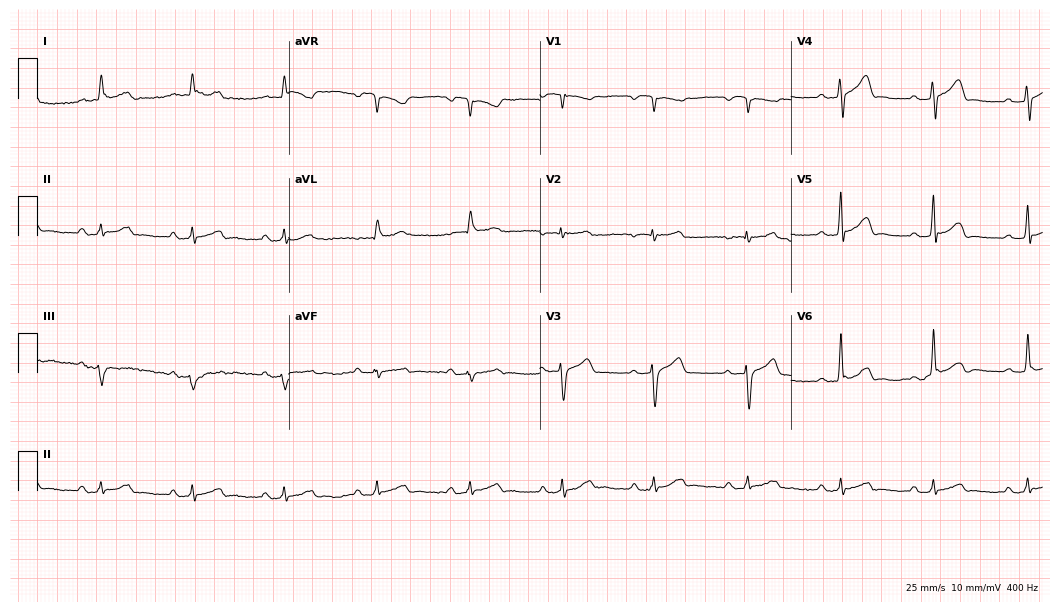
12-lead ECG from a male patient, 83 years old. Recorded interpretation: within normal limits.